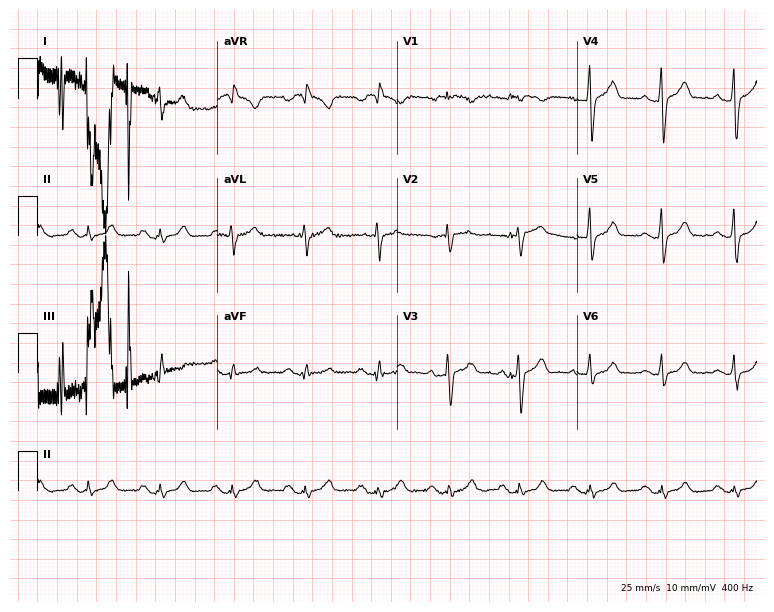
12-lead ECG (7.3-second recording at 400 Hz) from a 48-year-old female. Screened for six findings — first-degree AV block, right bundle branch block (RBBB), left bundle branch block (LBBB), sinus bradycardia, atrial fibrillation (AF), sinus tachycardia — none is recorded. Only these six findings were labelled.